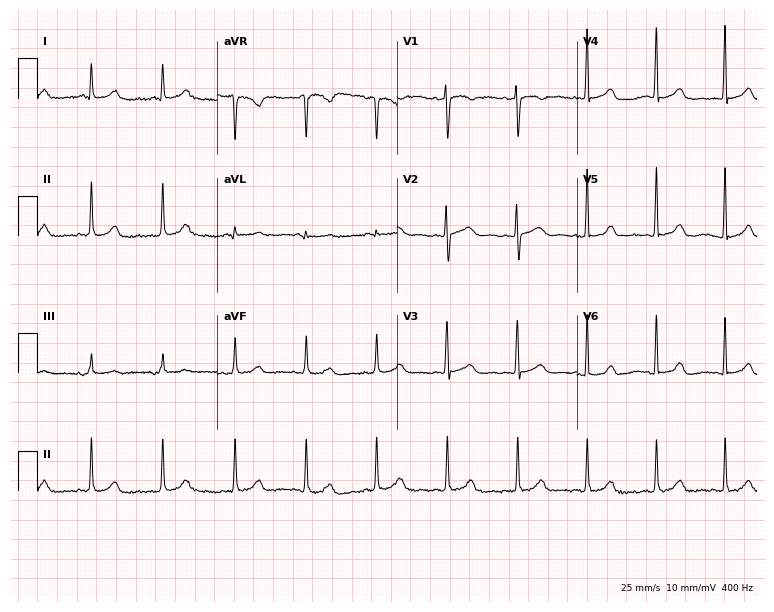
12-lead ECG from a woman, 76 years old (7.3-second recording at 400 Hz). Recorded interpretation: within normal limits.